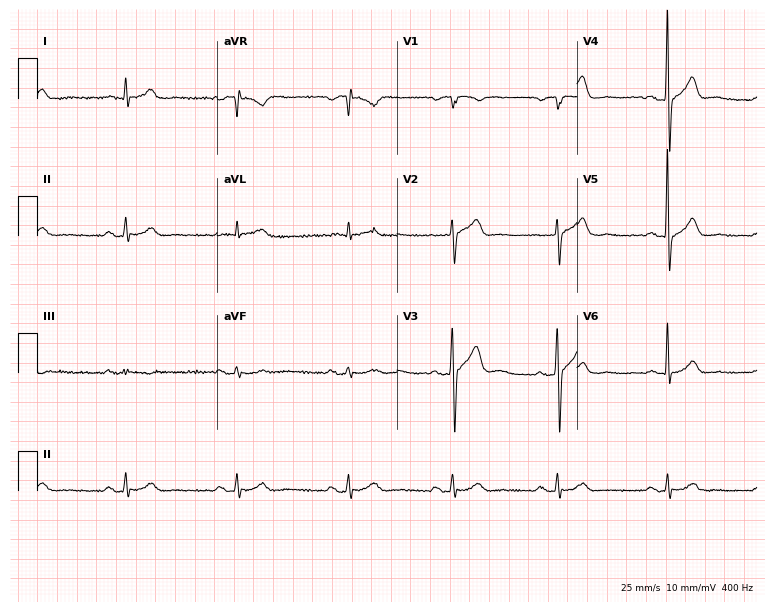
ECG (7.3-second recording at 400 Hz) — a 48-year-old man. Screened for six findings — first-degree AV block, right bundle branch block, left bundle branch block, sinus bradycardia, atrial fibrillation, sinus tachycardia — none is recorded.